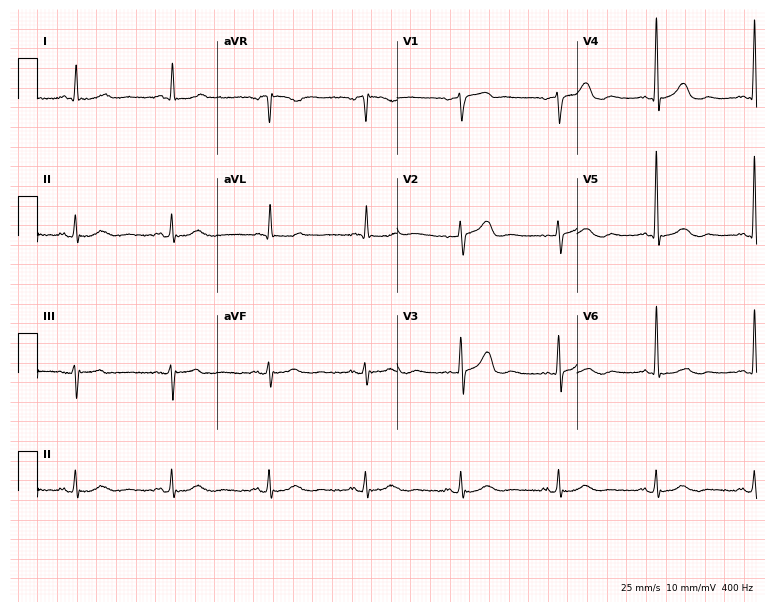
Resting 12-lead electrocardiogram. Patient: an 83-year-old woman. None of these six findings is recorded: first-degree AV block, right bundle branch block, left bundle branch block, sinus bradycardia, atrial fibrillation, sinus tachycardia. Findings outside these six are not listed.